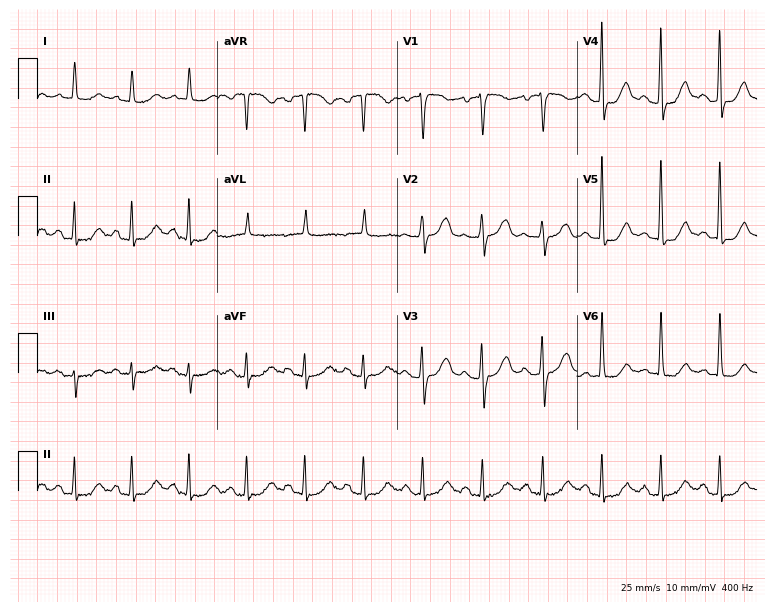
Resting 12-lead electrocardiogram. Patient: a 60-year-old female. The tracing shows sinus tachycardia (a sinus rate of 100 beats per minute or more).